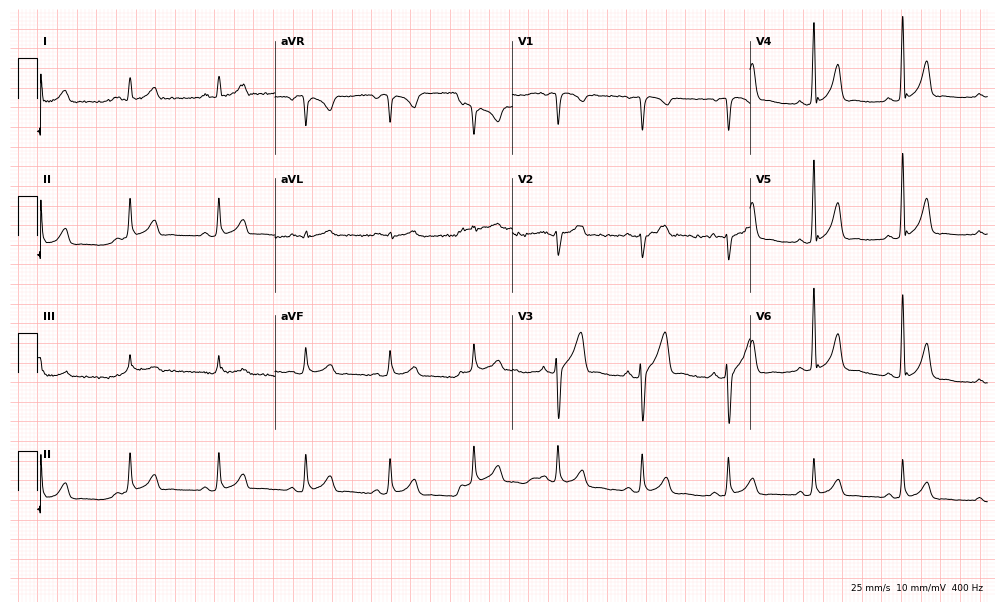
Resting 12-lead electrocardiogram (9.7-second recording at 400 Hz). Patient: a 45-year-old man. Read as a normal ECG.